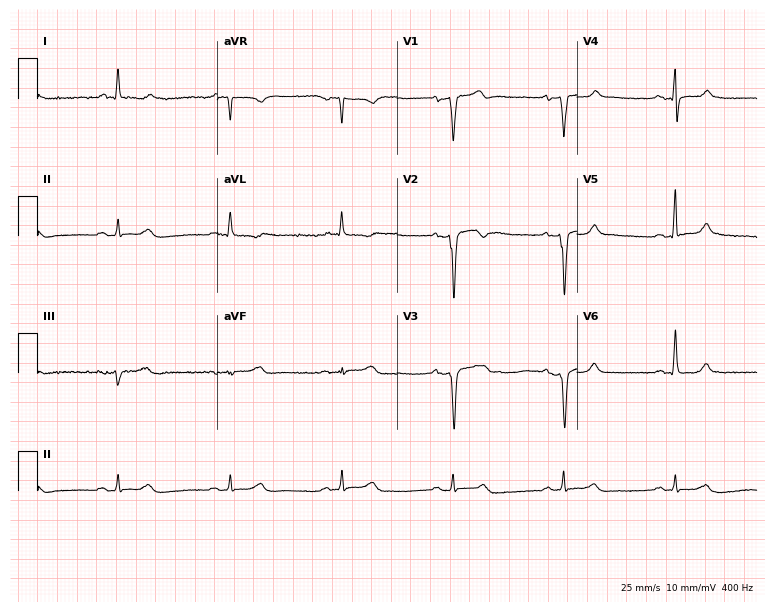
Standard 12-lead ECG recorded from a man, 76 years old (7.3-second recording at 400 Hz). None of these six findings is recorded: first-degree AV block, right bundle branch block (RBBB), left bundle branch block (LBBB), sinus bradycardia, atrial fibrillation (AF), sinus tachycardia. Only these six findings were labelled.